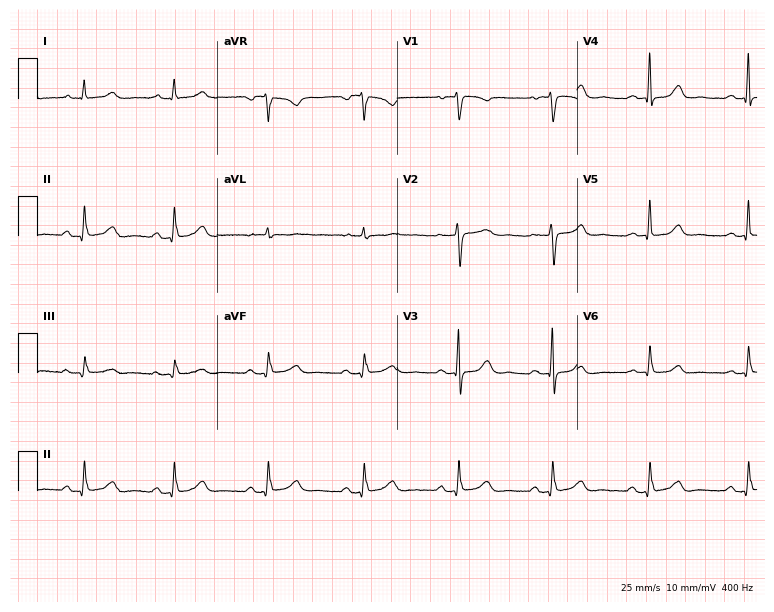
ECG — a woman, 58 years old. Labelled as a normal ECG.